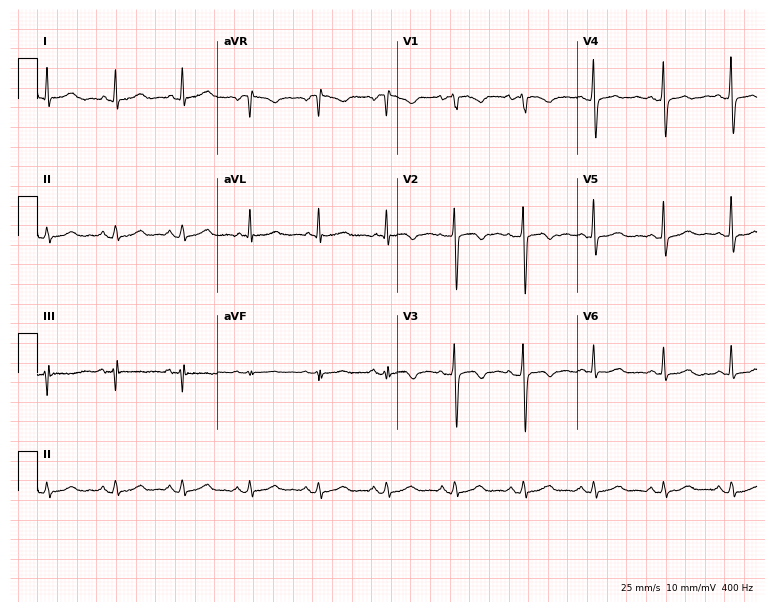
Standard 12-lead ECG recorded from a 74-year-old woman (7.3-second recording at 400 Hz). None of these six findings is recorded: first-degree AV block, right bundle branch block, left bundle branch block, sinus bradycardia, atrial fibrillation, sinus tachycardia. Other findings, if any, are not listed.